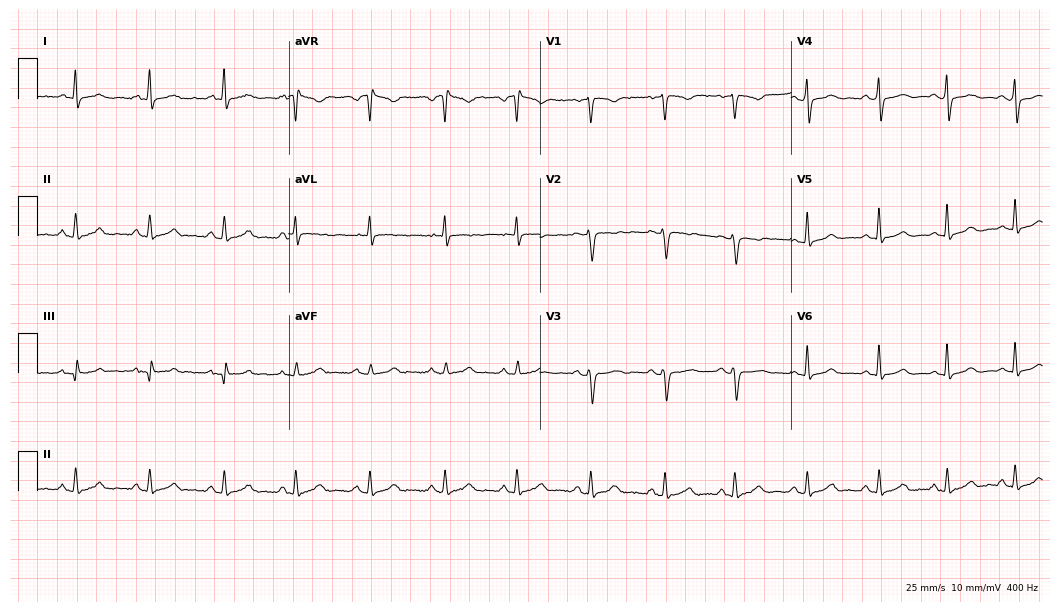
ECG — a woman, 48 years old. Labelled as a normal ECG.